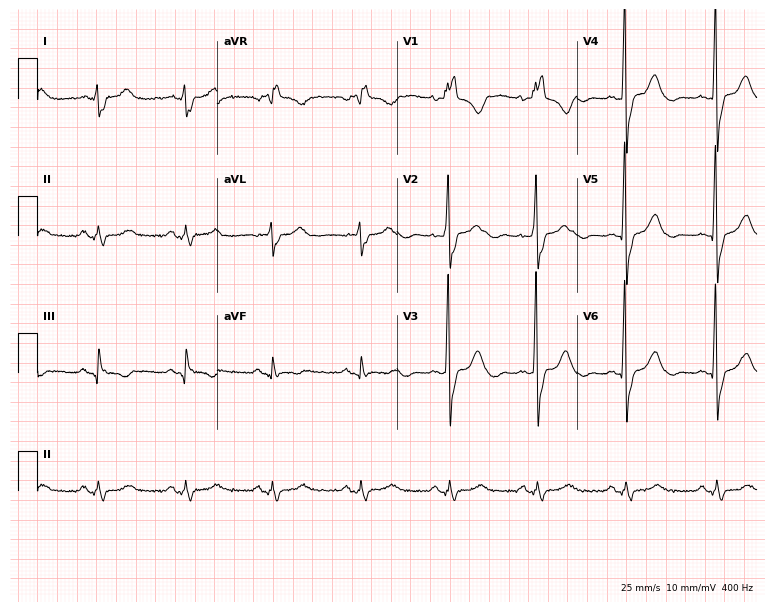
Electrocardiogram, a female patient, 45 years old. Interpretation includes right bundle branch block (RBBB).